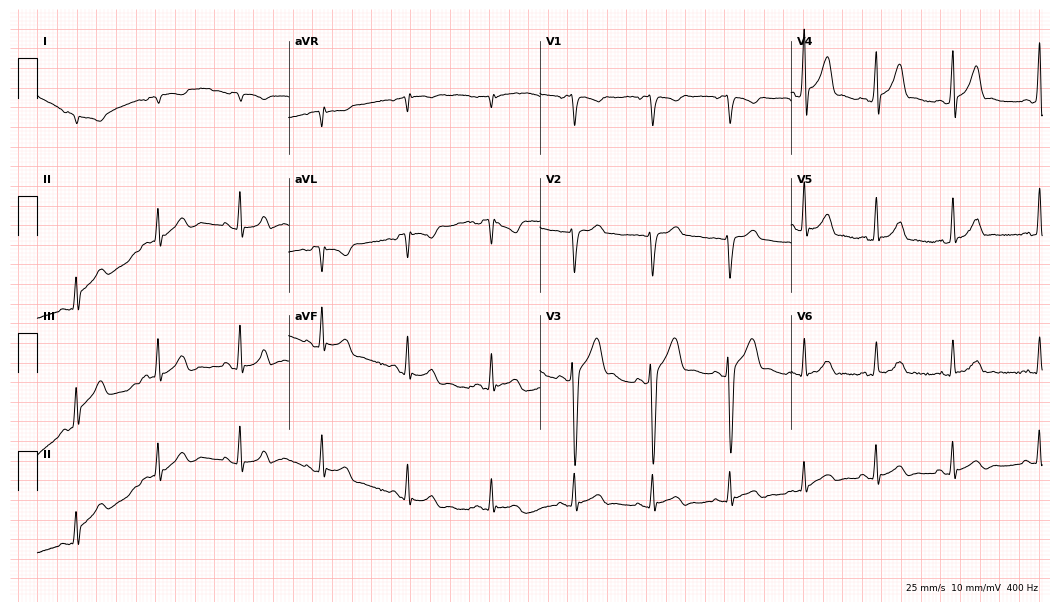
Standard 12-lead ECG recorded from a male patient, 21 years old. None of these six findings is recorded: first-degree AV block, right bundle branch block (RBBB), left bundle branch block (LBBB), sinus bradycardia, atrial fibrillation (AF), sinus tachycardia.